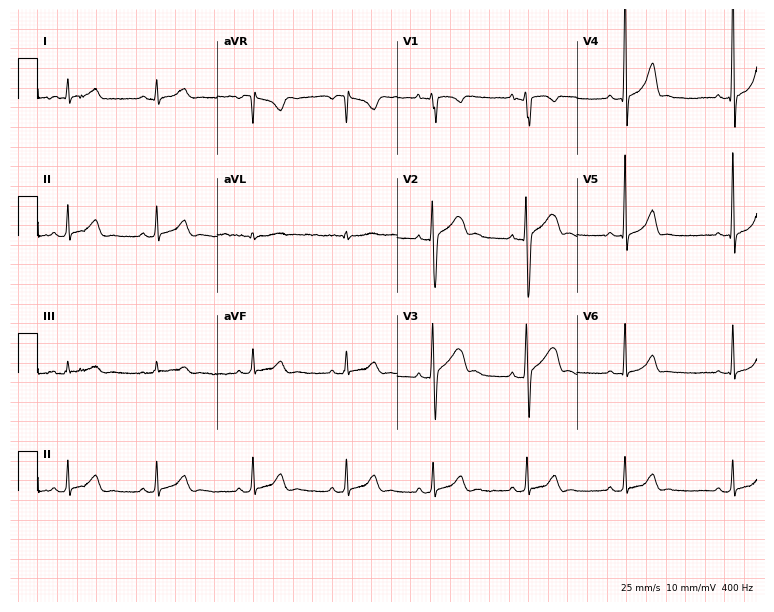
12-lead ECG from a male patient, 17 years old. No first-degree AV block, right bundle branch block (RBBB), left bundle branch block (LBBB), sinus bradycardia, atrial fibrillation (AF) or sinus tachycardia recorded for this tracing.